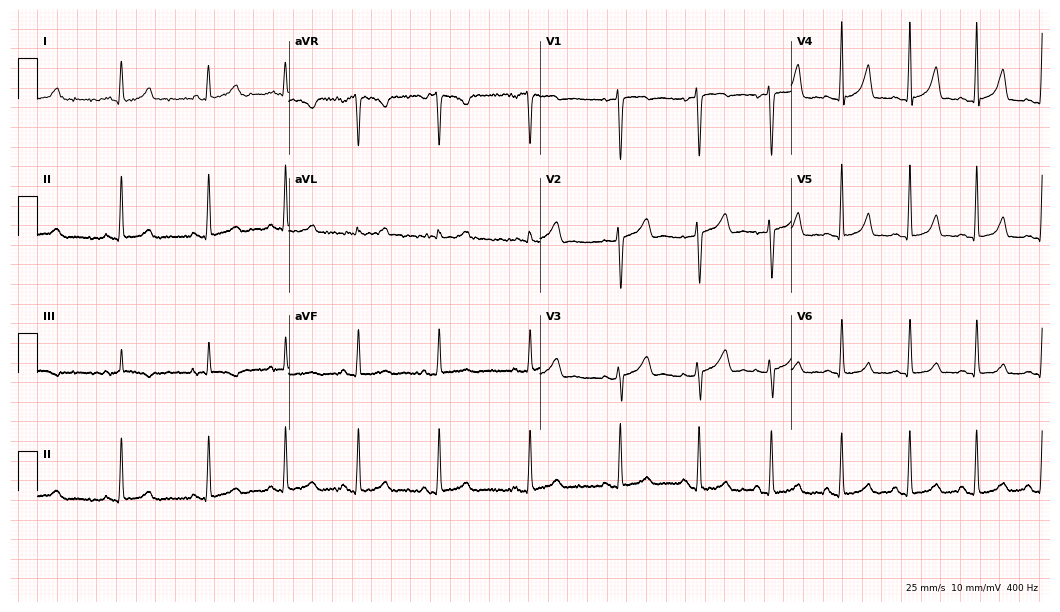
Electrocardiogram (10.2-second recording at 400 Hz), a woman, 31 years old. Overall reading on record: normal ECG.